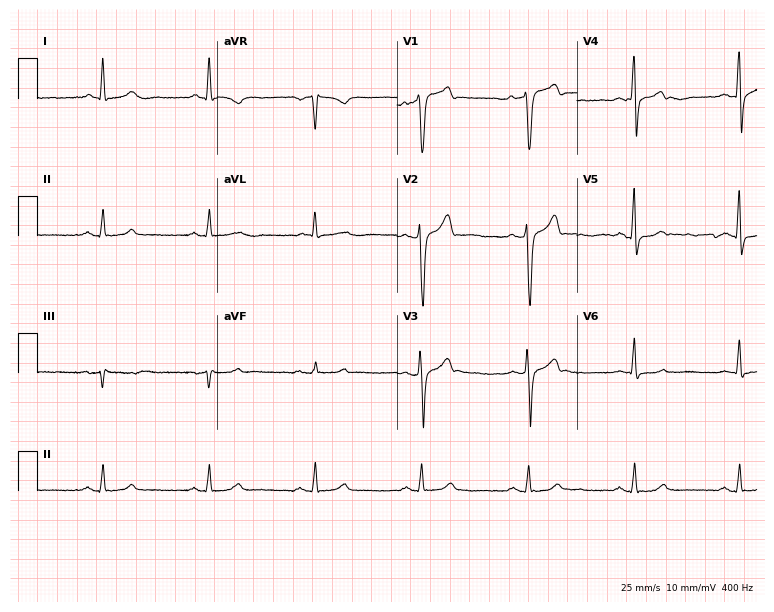
12-lead ECG from a male, 56 years old. Screened for six findings — first-degree AV block, right bundle branch block (RBBB), left bundle branch block (LBBB), sinus bradycardia, atrial fibrillation (AF), sinus tachycardia — none is recorded. Only these six findings were labelled.